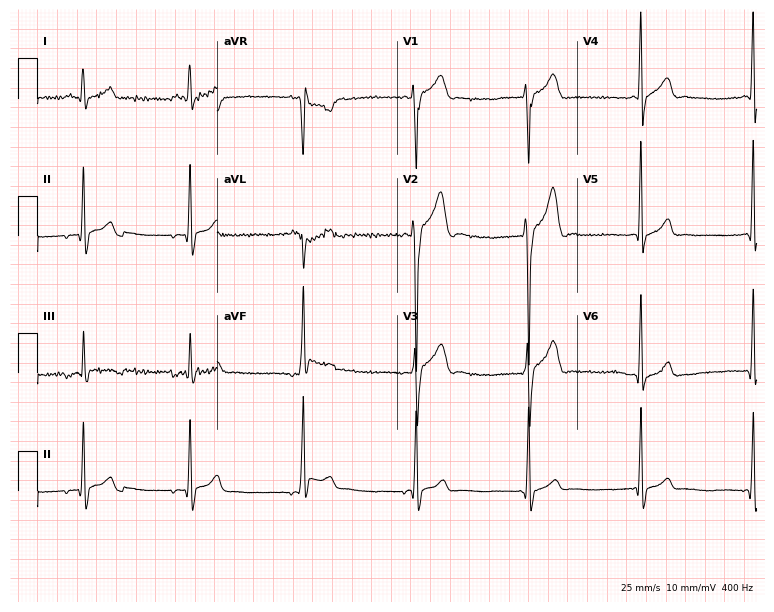
ECG — a male patient, 17 years old. Labelled as a normal ECG.